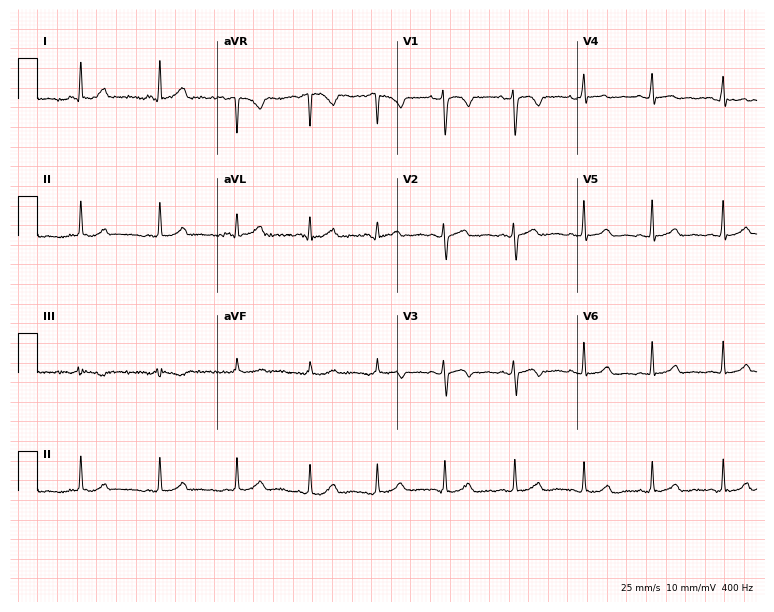
ECG — a 24-year-old female. Screened for six findings — first-degree AV block, right bundle branch block (RBBB), left bundle branch block (LBBB), sinus bradycardia, atrial fibrillation (AF), sinus tachycardia — none is recorded.